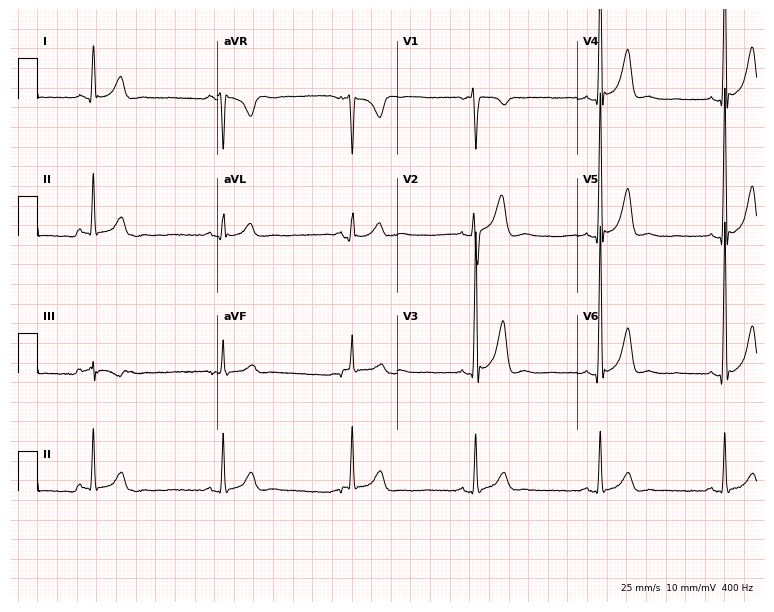
12-lead ECG from a man, 29 years old. Screened for six findings — first-degree AV block, right bundle branch block (RBBB), left bundle branch block (LBBB), sinus bradycardia, atrial fibrillation (AF), sinus tachycardia — none is recorded.